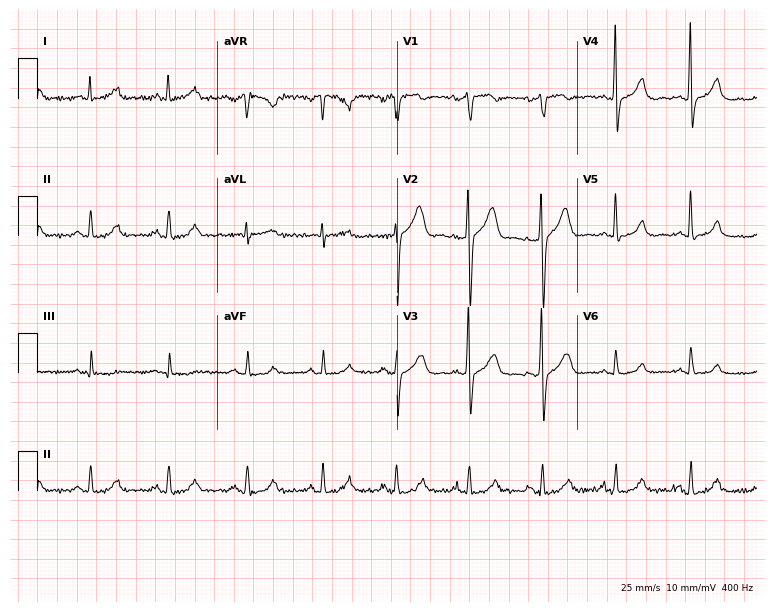
ECG (7.3-second recording at 400 Hz) — a male patient, 57 years old. Labelled as a normal ECG.